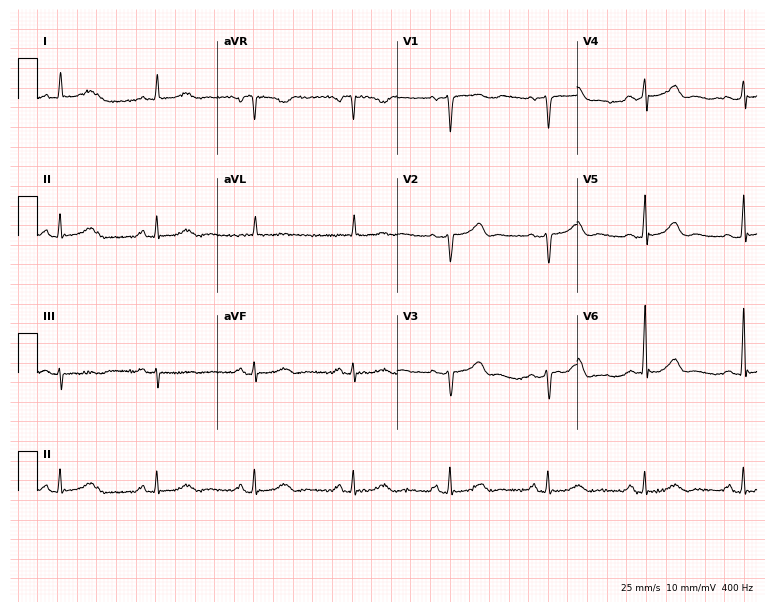
Standard 12-lead ECG recorded from a 68-year-old male. Read as a normal ECG.